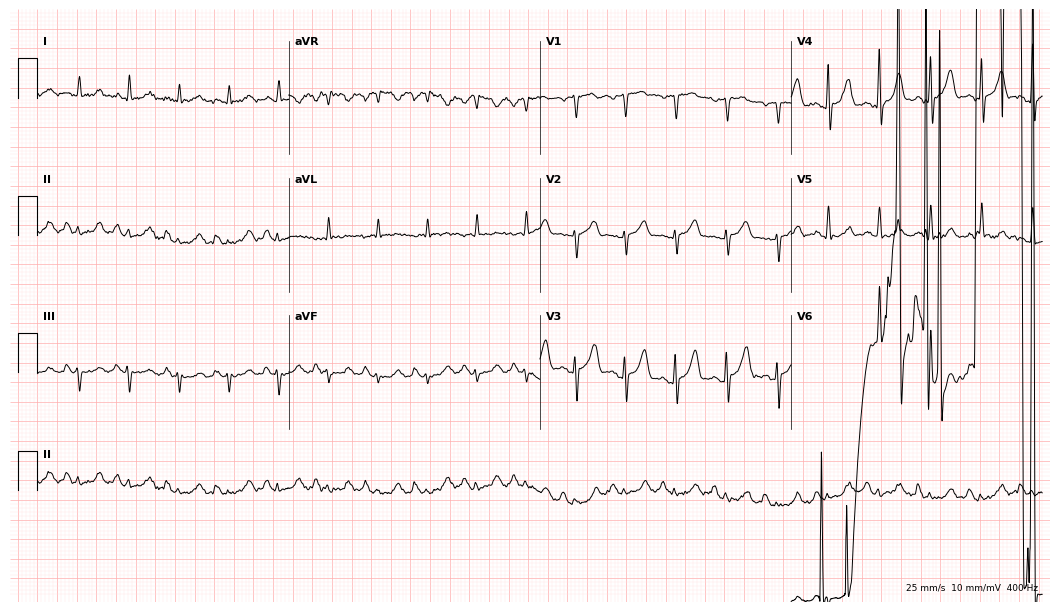
ECG (10.2-second recording at 400 Hz) — a man, 63 years old. Findings include sinus tachycardia (a sinus rate of 100 beats per minute or more).